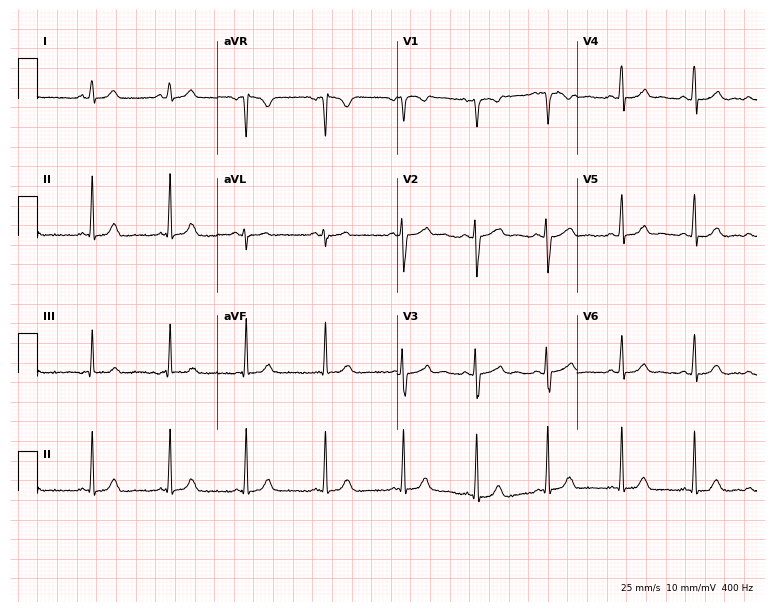
12-lead ECG from a 17-year-old woman (7.3-second recording at 400 Hz). Recorded interpretation: within normal limits.